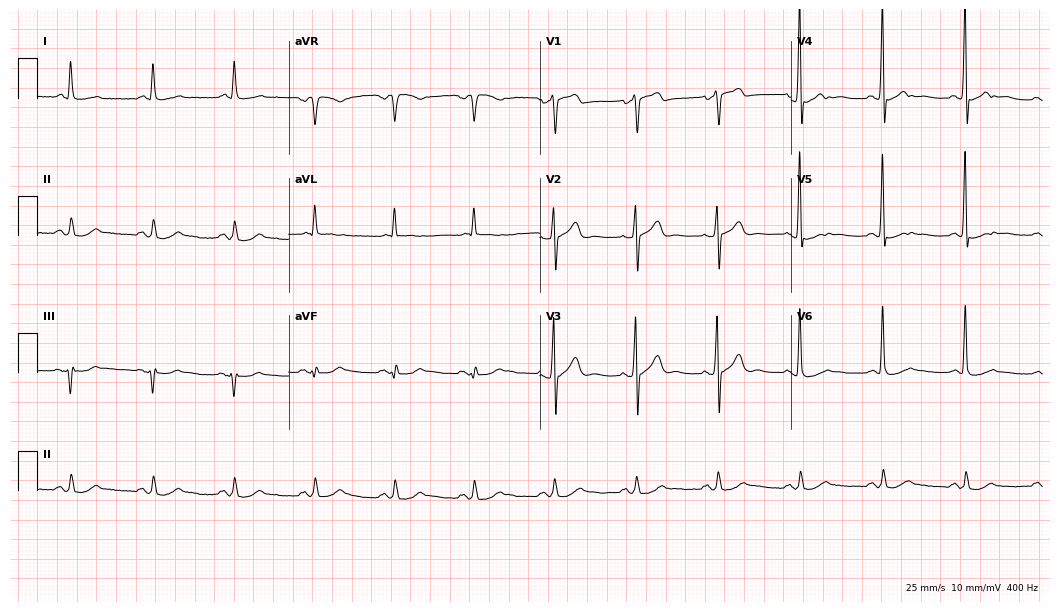
Resting 12-lead electrocardiogram. Patient: a 76-year-old male. Read as a normal ECG.